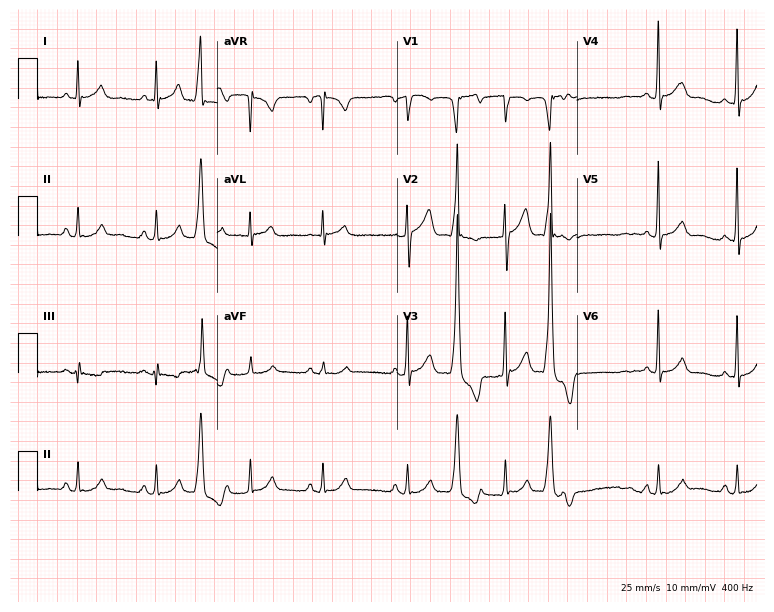
12-lead ECG (7.3-second recording at 400 Hz) from a 59-year-old male. Labelled as a normal ECG.